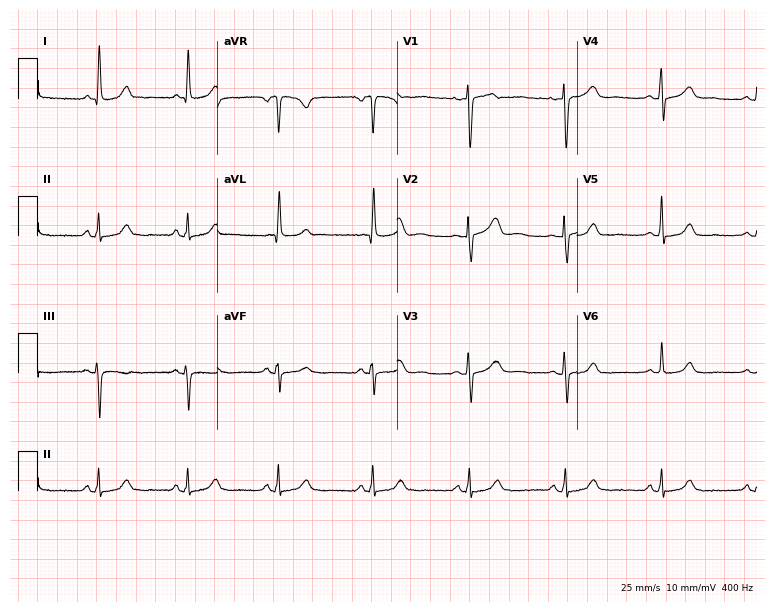
ECG — a 55-year-old female. Labelled as a normal ECG.